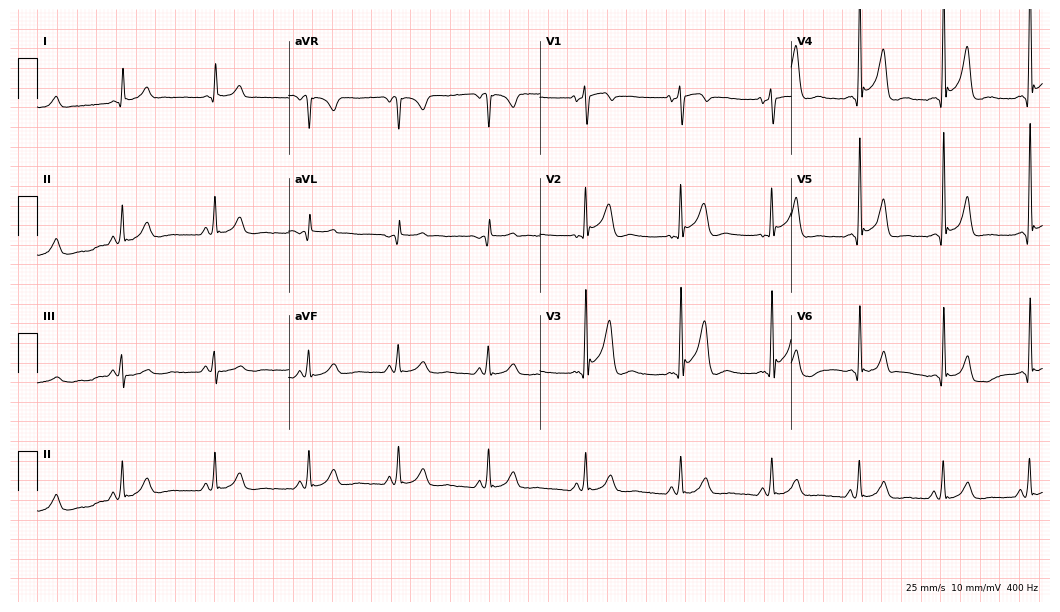
12-lead ECG from a 43-year-old male. No first-degree AV block, right bundle branch block, left bundle branch block, sinus bradycardia, atrial fibrillation or sinus tachycardia recorded for this tracing.